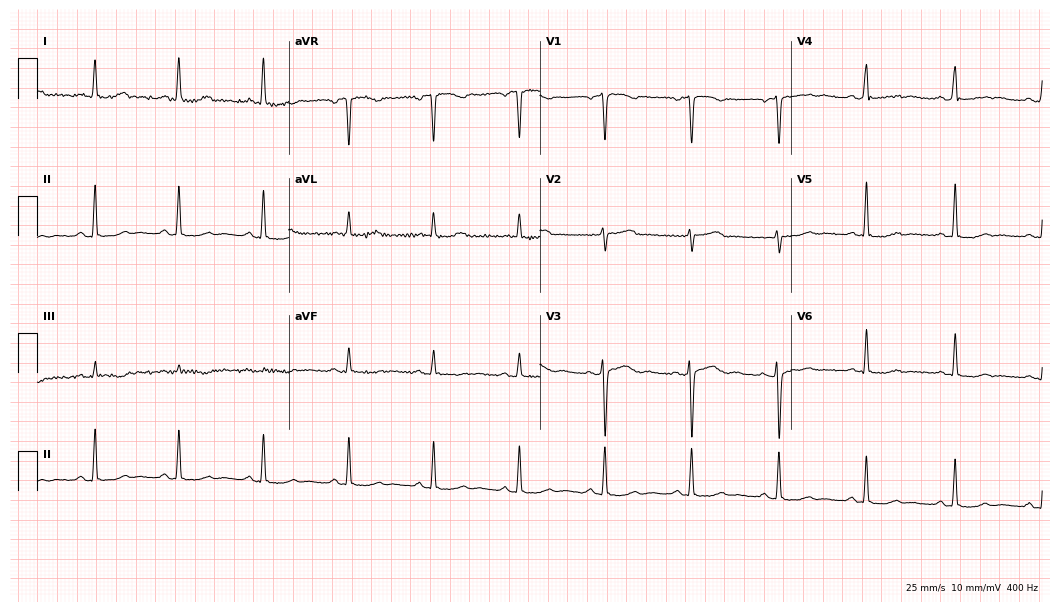
12-lead ECG from a female, 50 years old. No first-degree AV block, right bundle branch block, left bundle branch block, sinus bradycardia, atrial fibrillation or sinus tachycardia recorded for this tracing. Only these six findings were labelled.